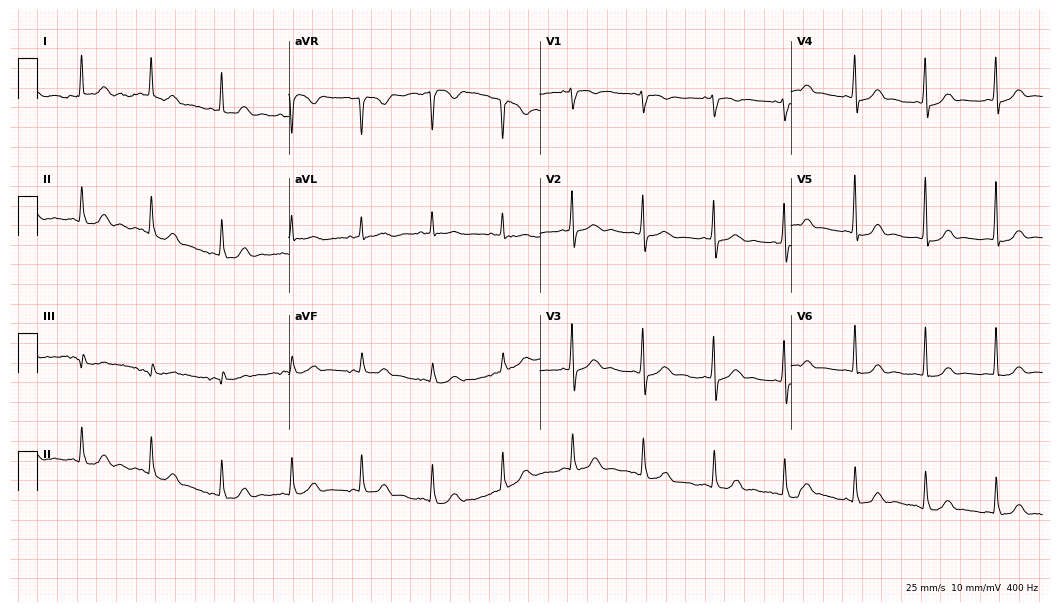
Resting 12-lead electrocardiogram (10.2-second recording at 400 Hz). Patient: a 77-year-old man. Read as a normal ECG.